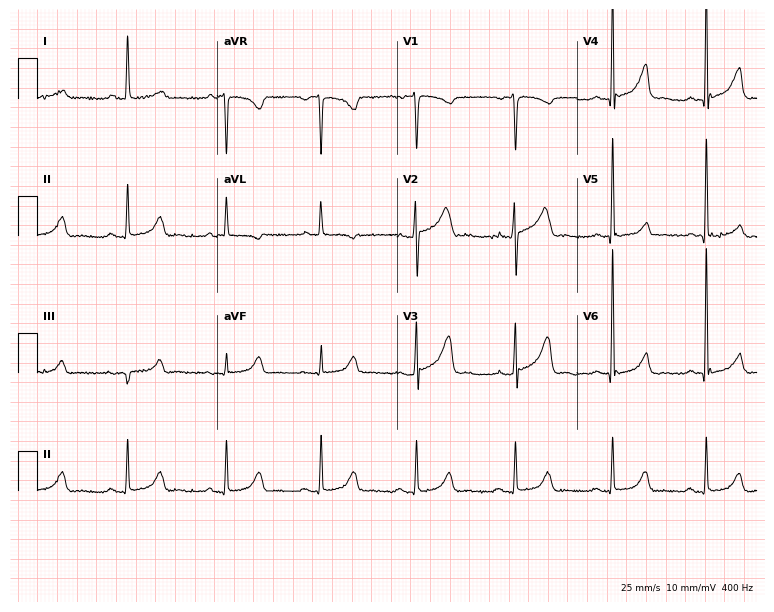
12-lead ECG from a woman, 69 years old. Labelled as a normal ECG.